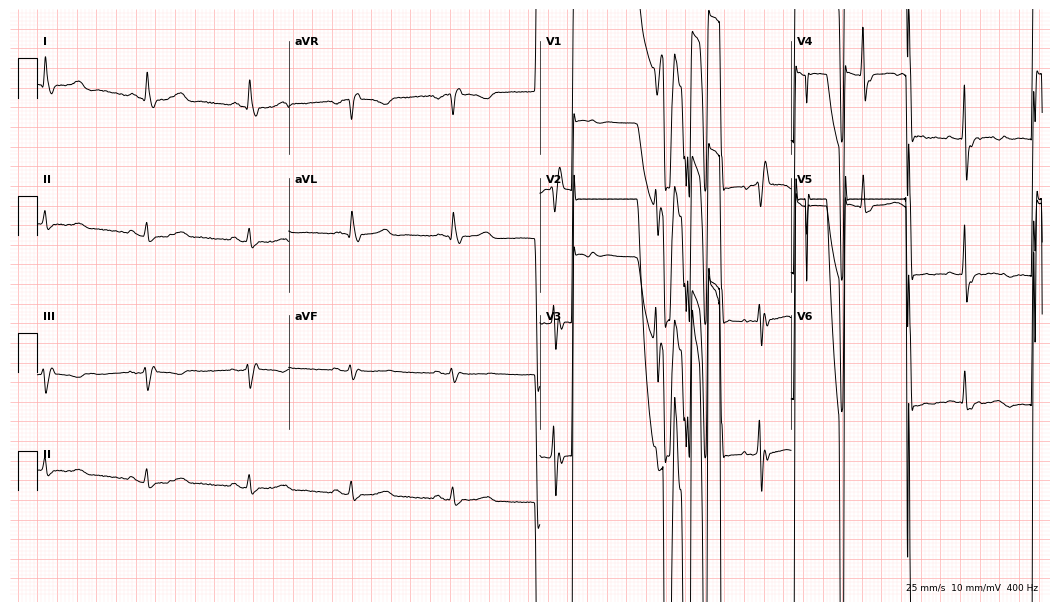
12-lead ECG (10.2-second recording at 400 Hz) from a man, 58 years old. Findings include right bundle branch block.